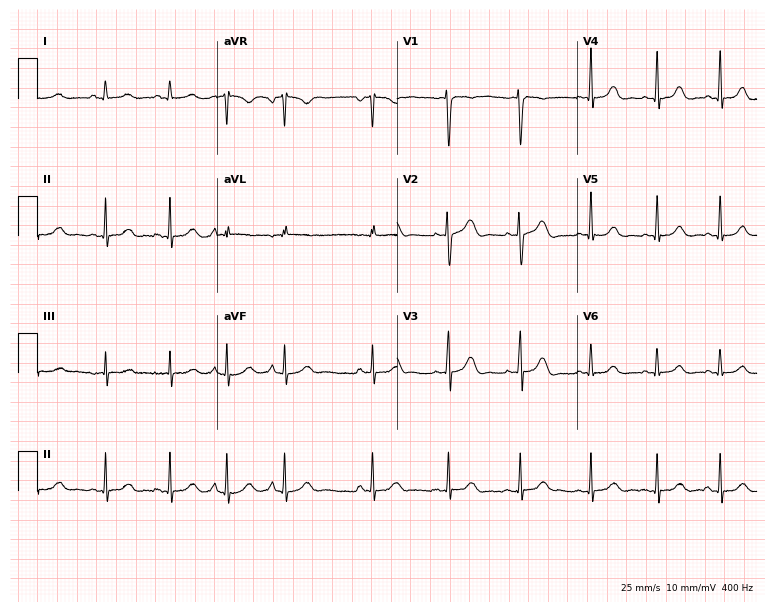
Standard 12-lead ECG recorded from a female patient, 31 years old (7.3-second recording at 400 Hz). None of these six findings is recorded: first-degree AV block, right bundle branch block, left bundle branch block, sinus bradycardia, atrial fibrillation, sinus tachycardia. Findings outside these six are not listed.